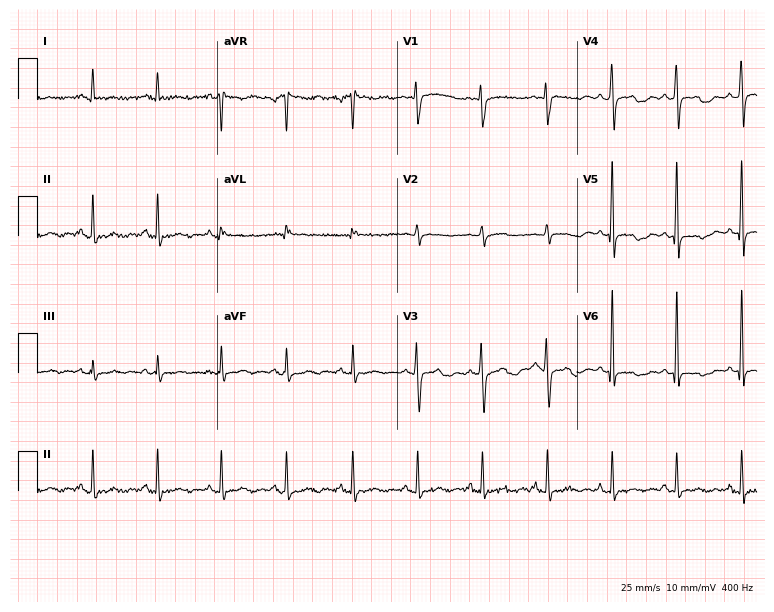
12-lead ECG from a woman, 64 years old. Labelled as a normal ECG.